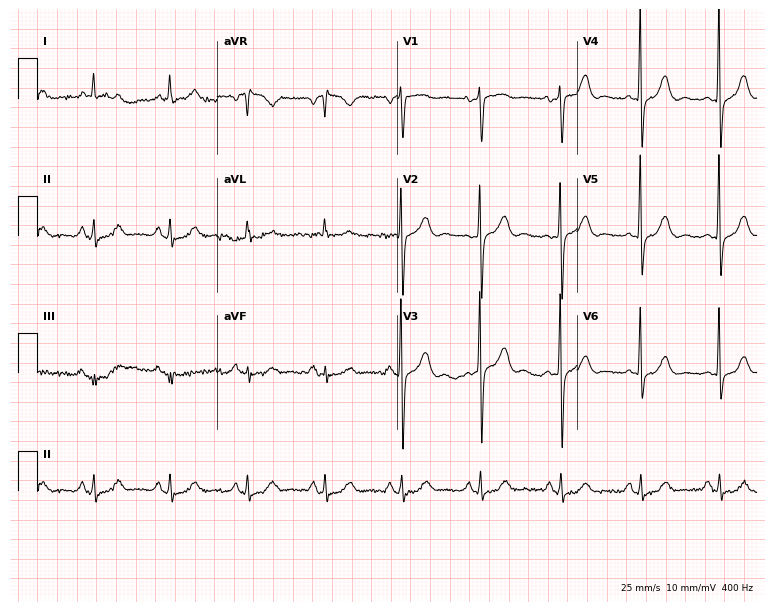
Standard 12-lead ECG recorded from an 80-year-old female. Read as a normal ECG.